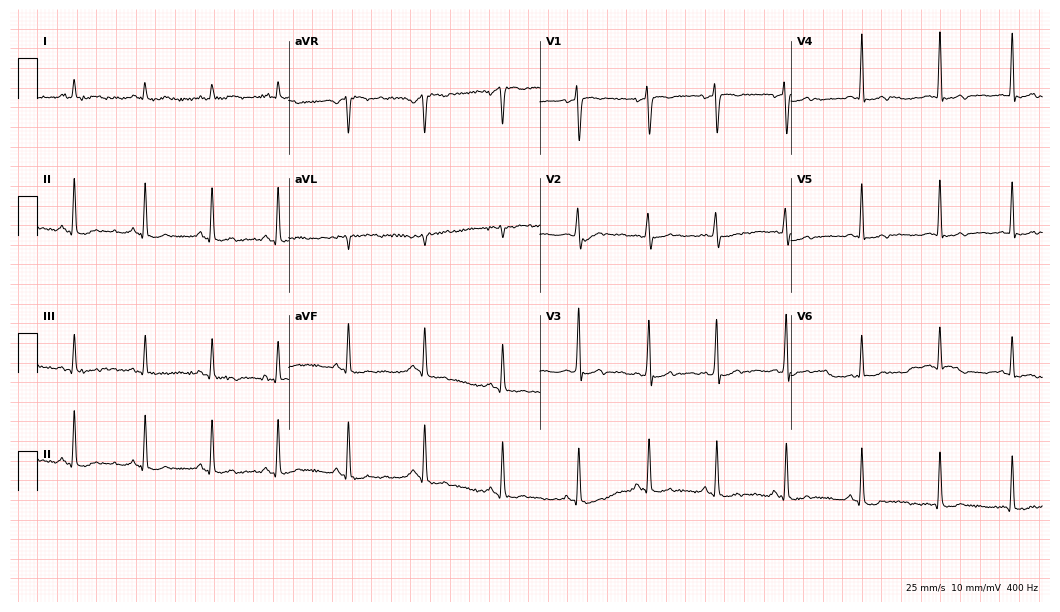
Resting 12-lead electrocardiogram (10.2-second recording at 400 Hz). Patient: a female, 23 years old. None of these six findings is recorded: first-degree AV block, right bundle branch block, left bundle branch block, sinus bradycardia, atrial fibrillation, sinus tachycardia.